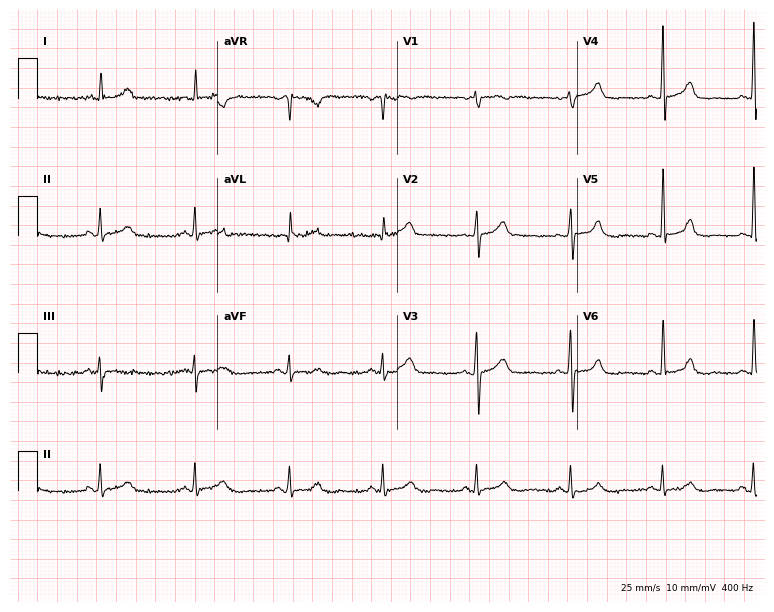
12-lead ECG from a male patient, 84 years old. No first-degree AV block, right bundle branch block, left bundle branch block, sinus bradycardia, atrial fibrillation or sinus tachycardia recorded for this tracing. Findings outside these six are not listed.